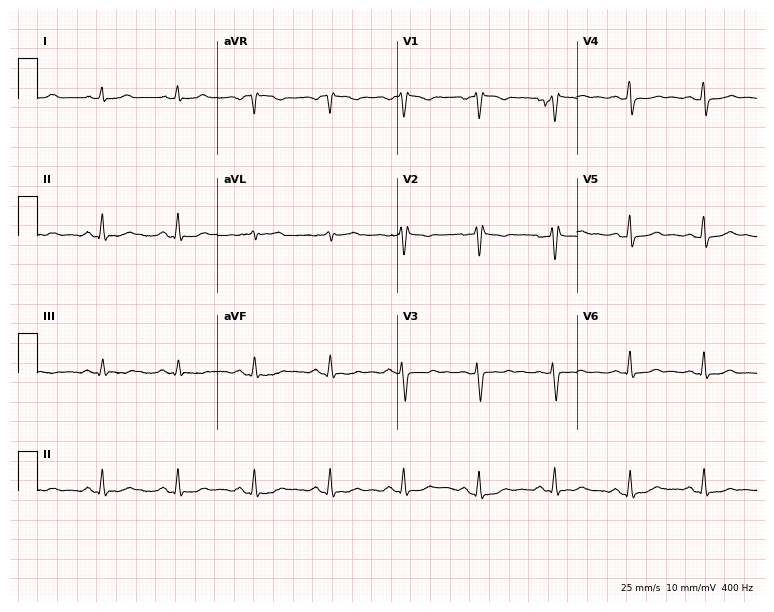
Resting 12-lead electrocardiogram. Patient: a 39-year-old woman. None of these six findings is recorded: first-degree AV block, right bundle branch block (RBBB), left bundle branch block (LBBB), sinus bradycardia, atrial fibrillation (AF), sinus tachycardia. Only these six findings were labelled.